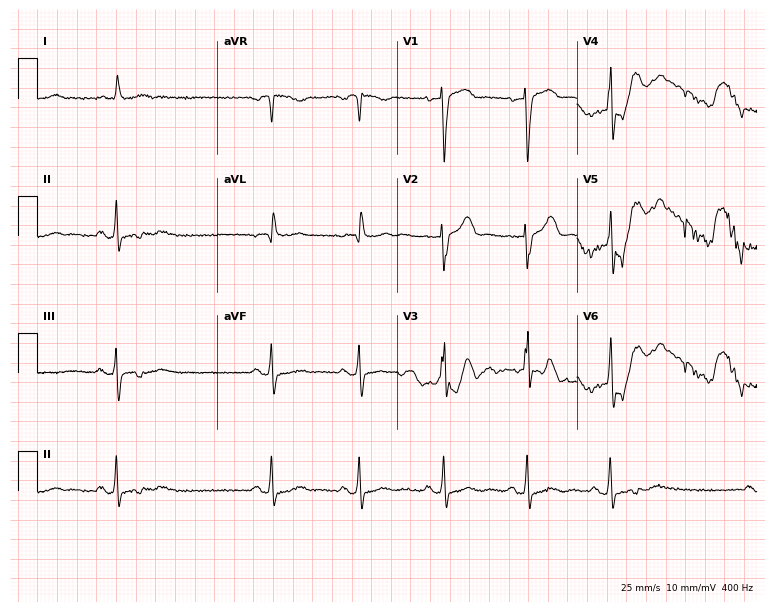
Electrocardiogram (7.3-second recording at 400 Hz), a 75-year-old man. Of the six screened findings (first-degree AV block, right bundle branch block, left bundle branch block, sinus bradycardia, atrial fibrillation, sinus tachycardia), none is recorded. Other findings, if any, are not listed.